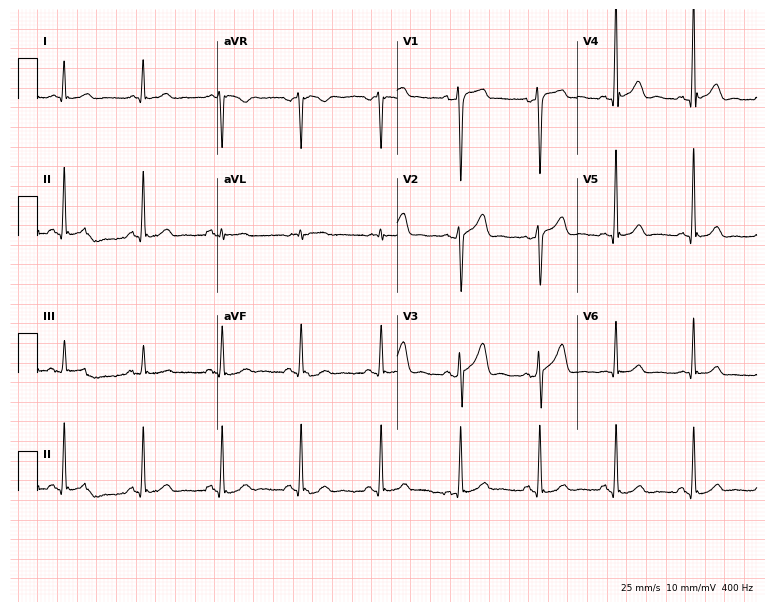
12-lead ECG from a male, 53 years old. No first-degree AV block, right bundle branch block (RBBB), left bundle branch block (LBBB), sinus bradycardia, atrial fibrillation (AF) or sinus tachycardia recorded for this tracing. Findings outside these six are not listed.